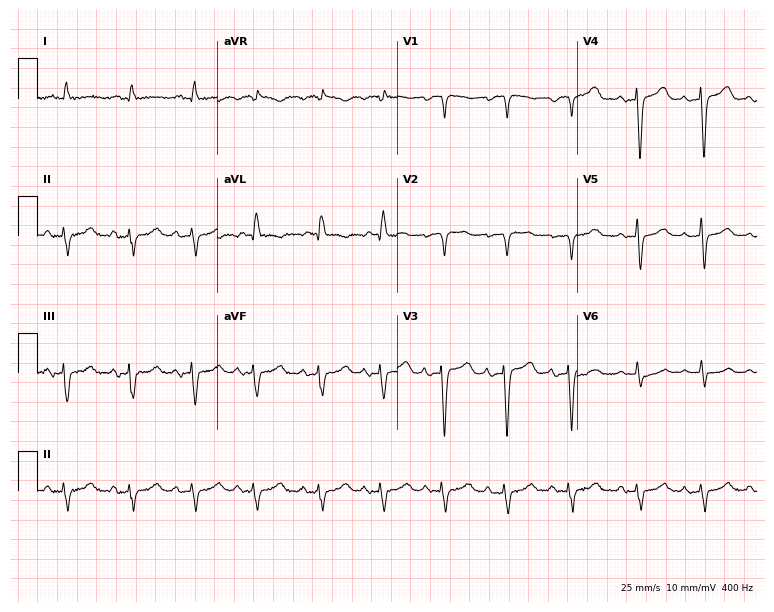
12-lead ECG from an 82-year-old female (7.3-second recording at 400 Hz). No first-degree AV block, right bundle branch block (RBBB), left bundle branch block (LBBB), sinus bradycardia, atrial fibrillation (AF) or sinus tachycardia recorded for this tracing.